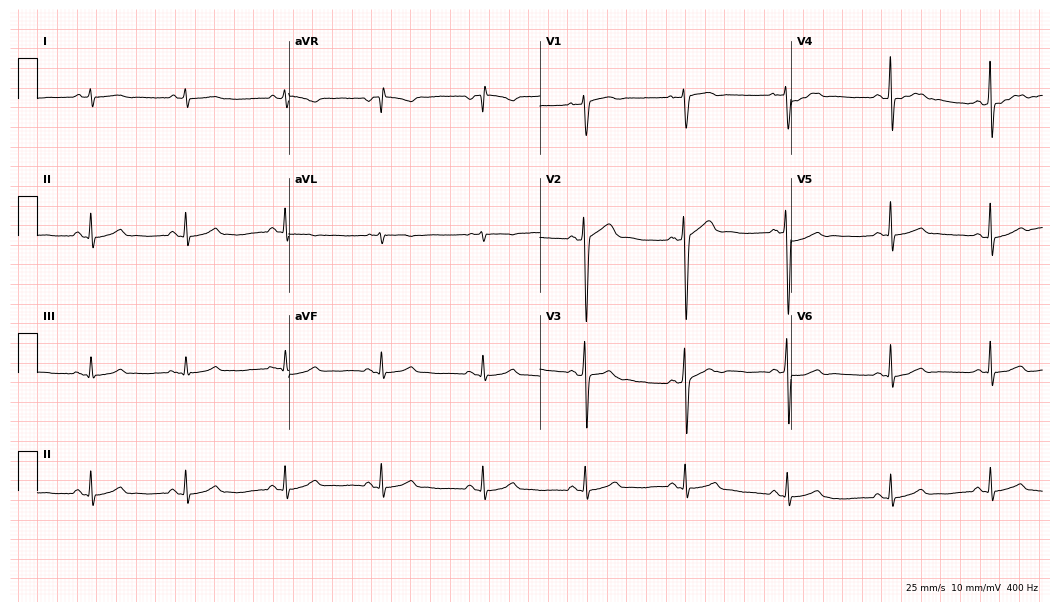
ECG (10.2-second recording at 400 Hz) — a 44-year-old male patient. Labelled as a normal ECG.